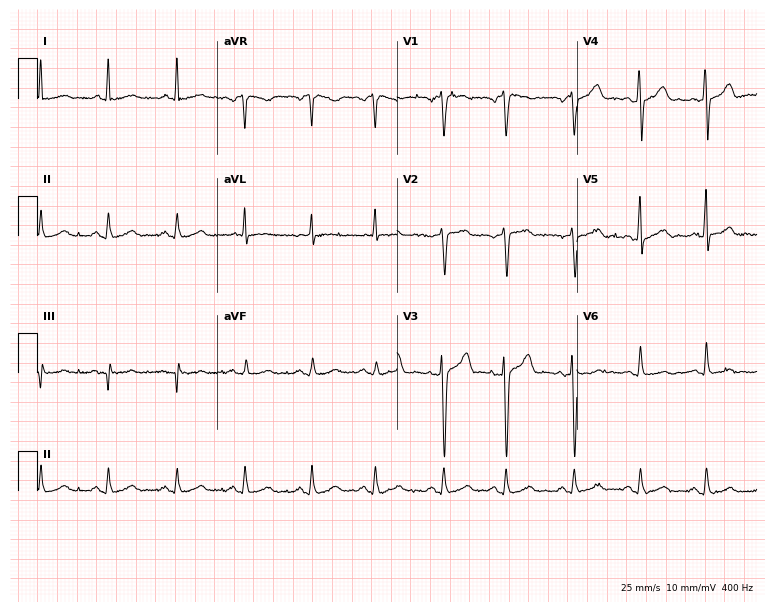
12-lead ECG from a 47-year-old man. Recorded interpretation: within normal limits.